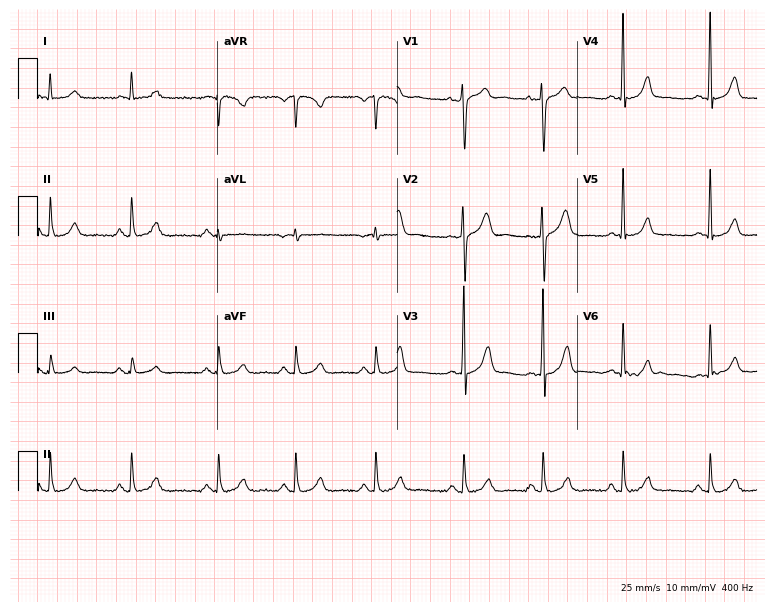
Resting 12-lead electrocardiogram (7.3-second recording at 400 Hz). Patient: a male, 40 years old. None of these six findings is recorded: first-degree AV block, right bundle branch block (RBBB), left bundle branch block (LBBB), sinus bradycardia, atrial fibrillation (AF), sinus tachycardia. Other findings, if any, are not listed.